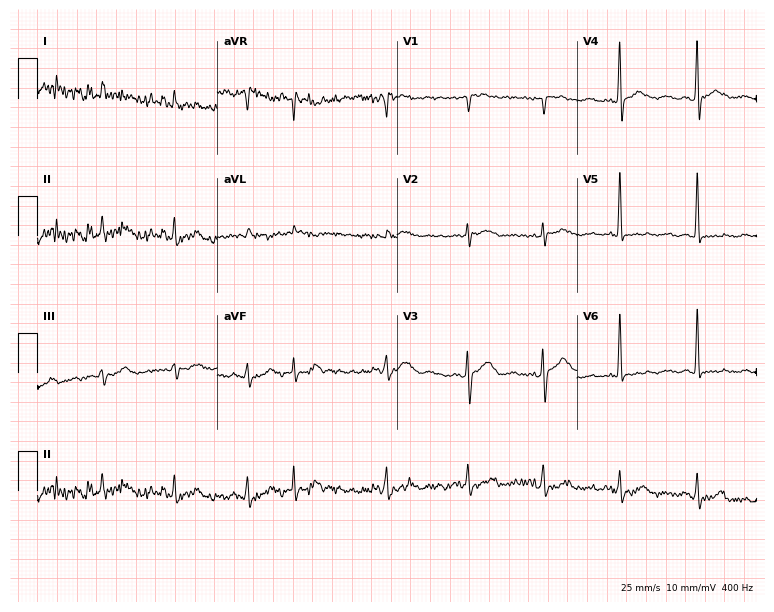
Standard 12-lead ECG recorded from a 77-year-old male patient. None of these six findings is recorded: first-degree AV block, right bundle branch block, left bundle branch block, sinus bradycardia, atrial fibrillation, sinus tachycardia.